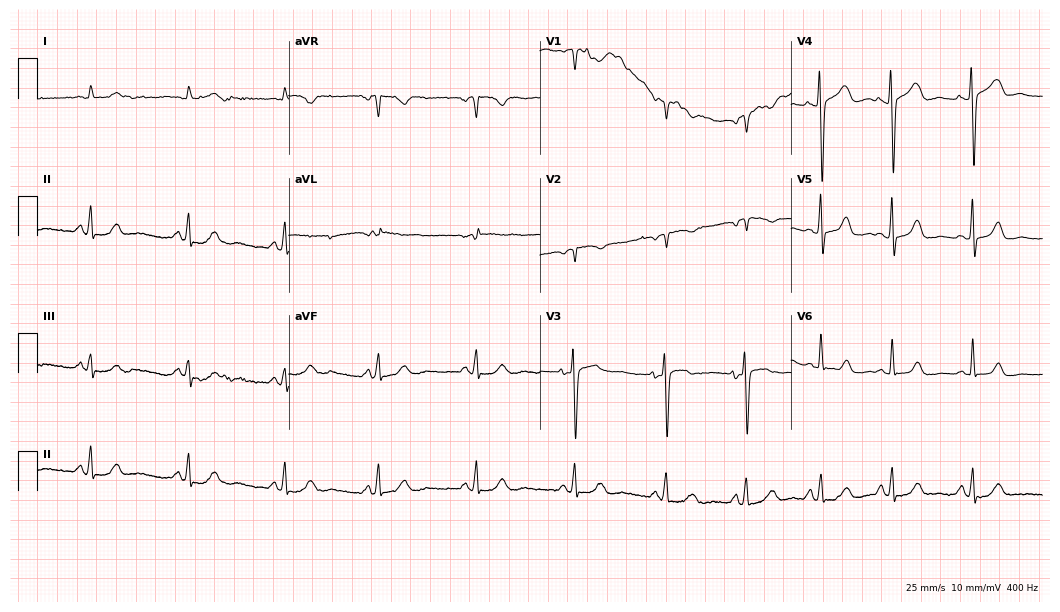
Standard 12-lead ECG recorded from a 62-year-old woman (10.2-second recording at 400 Hz). None of these six findings is recorded: first-degree AV block, right bundle branch block (RBBB), left bundle branch block (LBBB), sinus bradycardia, atrial fibrillation (AF), sinus tachycardia.